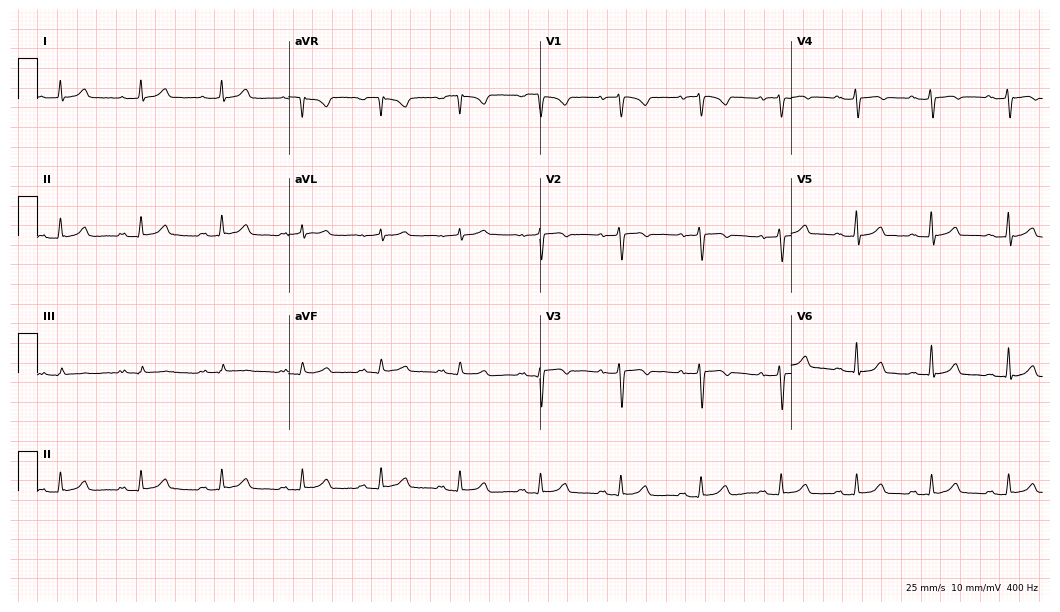
12-lead ECG from a woman, 65 years old. Recorded interpretation: within normal limits.